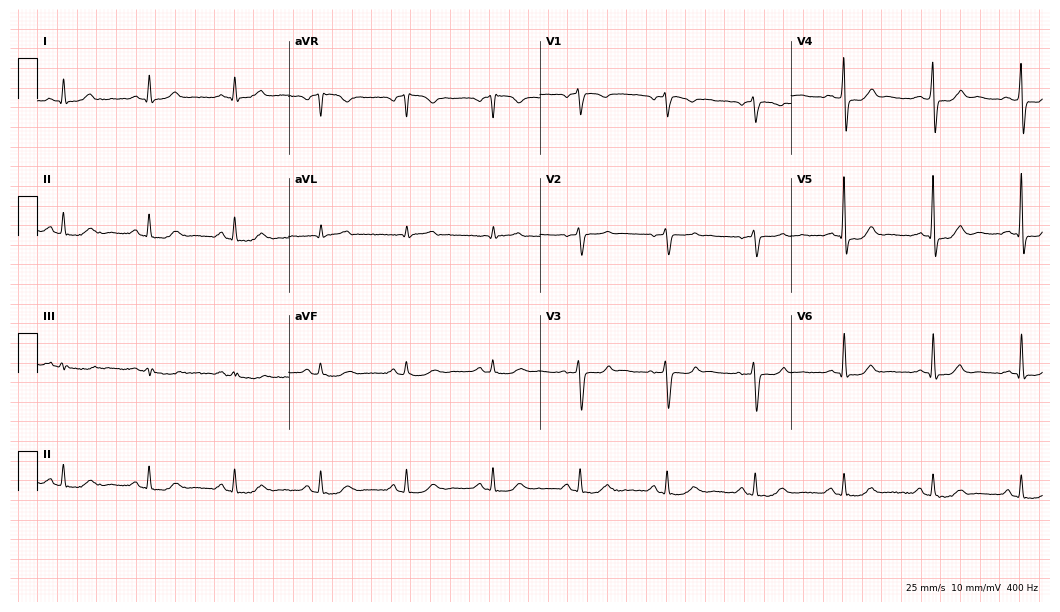
Standard 12-lead ECG recorded from a 70-year-old male. None of these six findings is recorded: first-degree AV block, right bundle branch block (RBBB), left bundle branch block (LBBB), sinus bradycardia, atrial fibrillation (AF), sinus tachycardia.